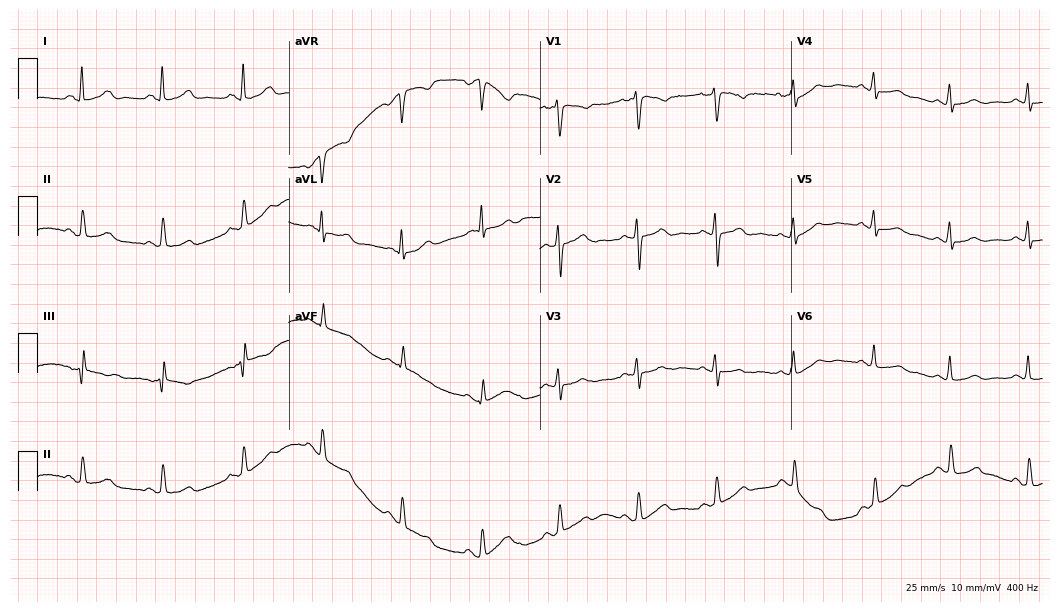
Electrocardiogram (10.2-second recording at 400 Hz), a 36-year-old female patient. Overall reading on record: normal ECG.